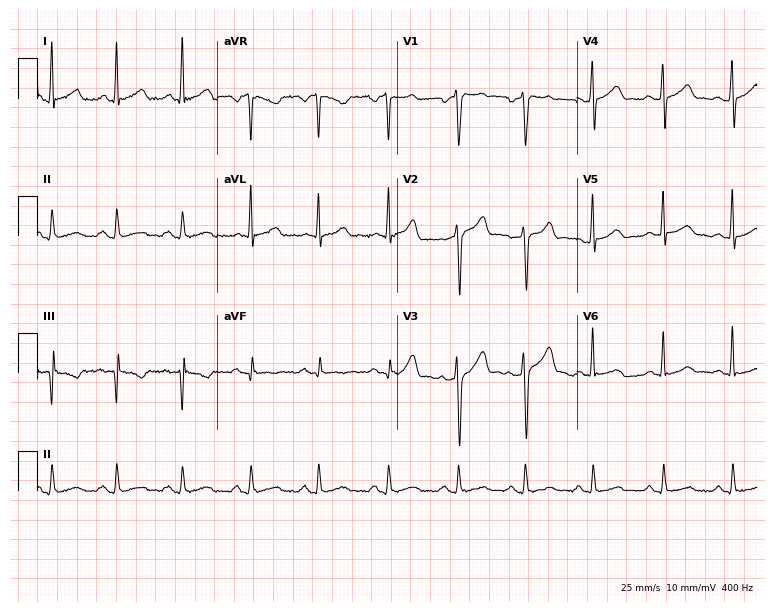
Resting 12-lead electrocardiogram (7.3-second recording at 400 Hz). Patient: a man, 31 years old. Read as a normal ECG.